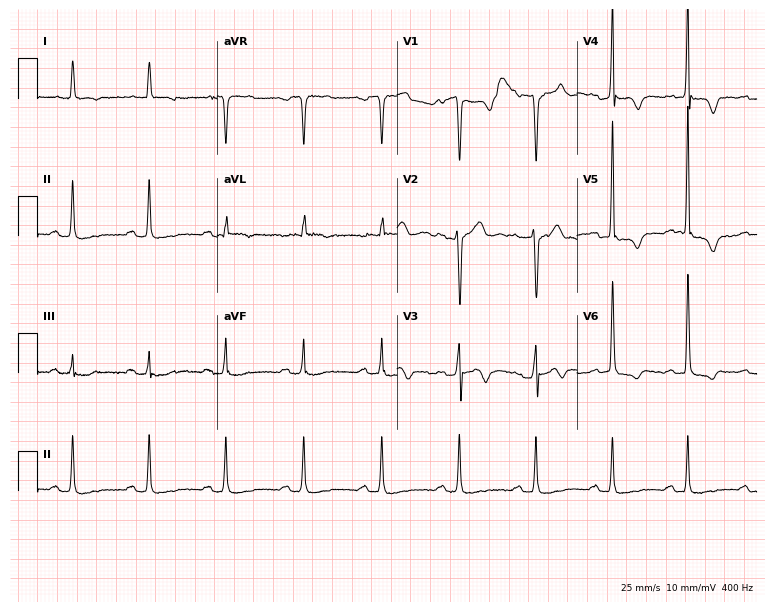
12-lead ECG from a 73-year-old man (7.3-second recording at 400 Hz). No first-degree AV block, right bundle branch block, left bundle branch block, sinus bradycardia, atrial fibrillation or sinus tachycardia recorded for this tracing. Only these six findings were labelled.